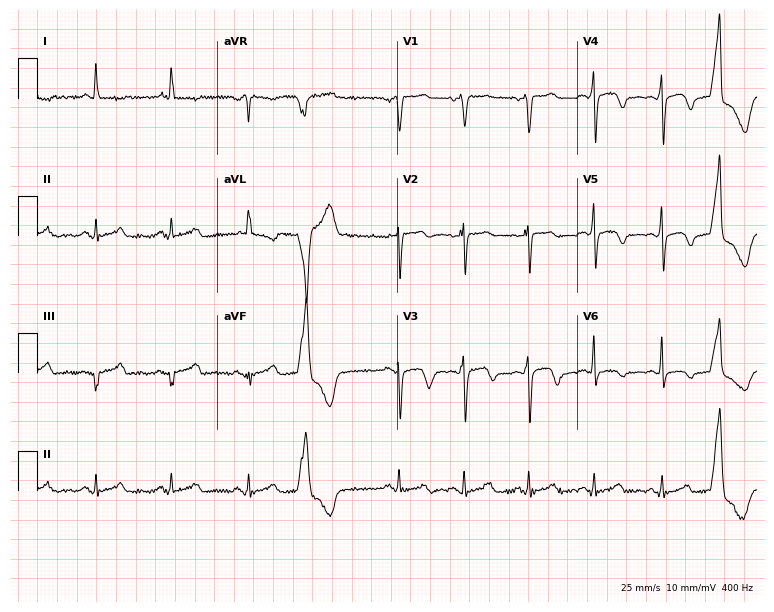
Standard 12-lead ECG recorded from a 55-year-old female (7.3-second recording at 400 Hz). None of these six findings is recorded: first-degree AV block, right bundle branch block, left bundle branch block, sinus bradycardia, atrial fibrillation, sinus tachycardia. Only these six findings were labelled.